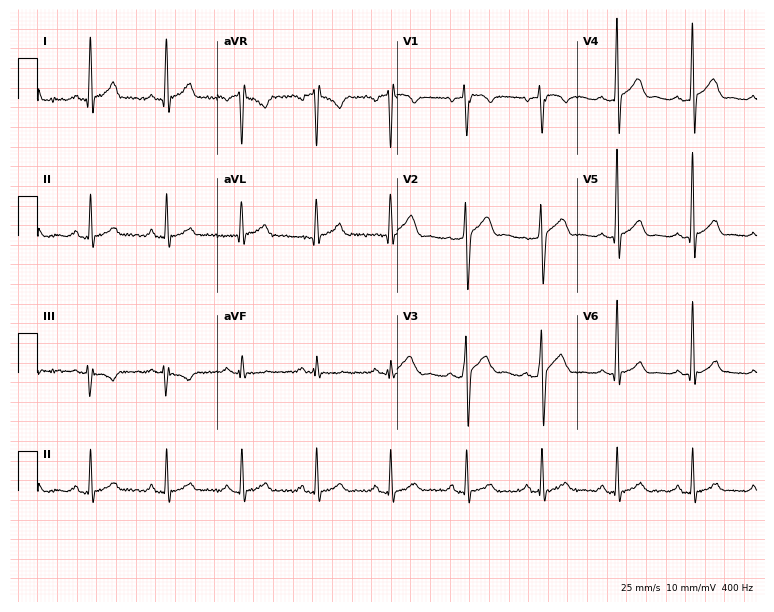
Standard 12-lead ECG recorded from a male patient, 40 years old (7.3-second recording at 400 Hz). None of these six findings is recorded: first-degree AV block, right bundle branch block, left bundle branch block, sinus bradycardia, atrial fibrillation, sinus tachycardia.